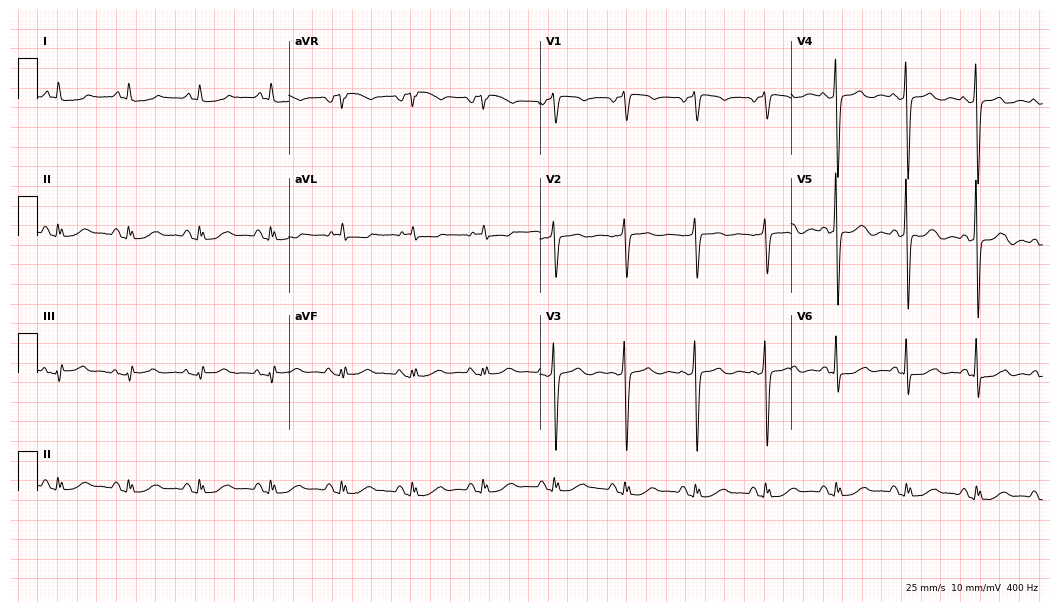
12-lead ECG from a female, 79 years old. Screened for six findings — first-degree AV block, right bundle branch block, left bundle branch block, sinus bradycardia, atrial fibrillation, sinus tachycardia — none is recorded. Only these six findings were labelled.